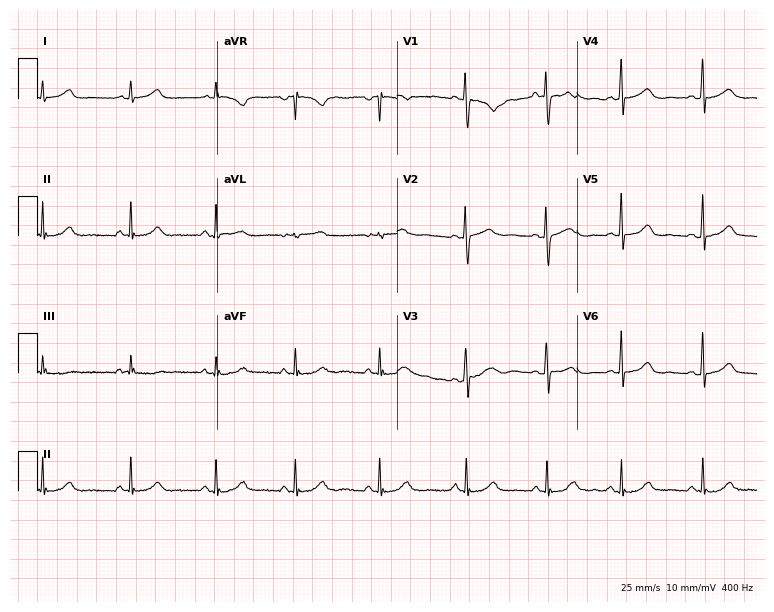
12-lead ECG (7.3-second recording at 400 Hz) from a 42-year-old female. Labelled as a normal ECG.